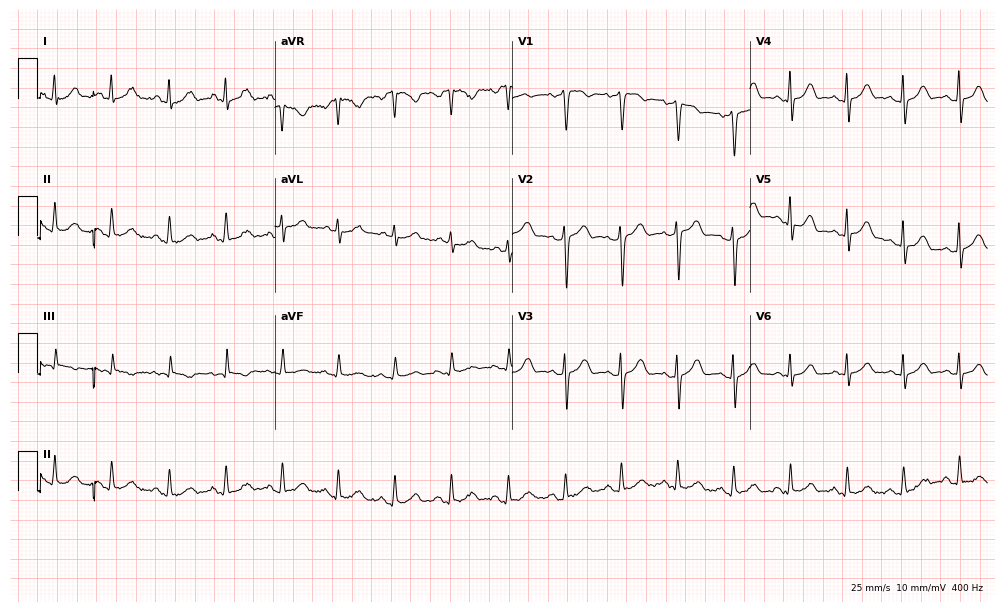
12-lead ECG (9.7-second recording at 400 Hz) from a 62-year-old female patient. Screened for six findings — first-degree AV block, right bundle branch block (RBBB), left bundle branch block (LBBB), sinus bradycardia, atrial fibrillation (AF), sinus tachycardia — none is recorded. Other findings, if any, are not listed.